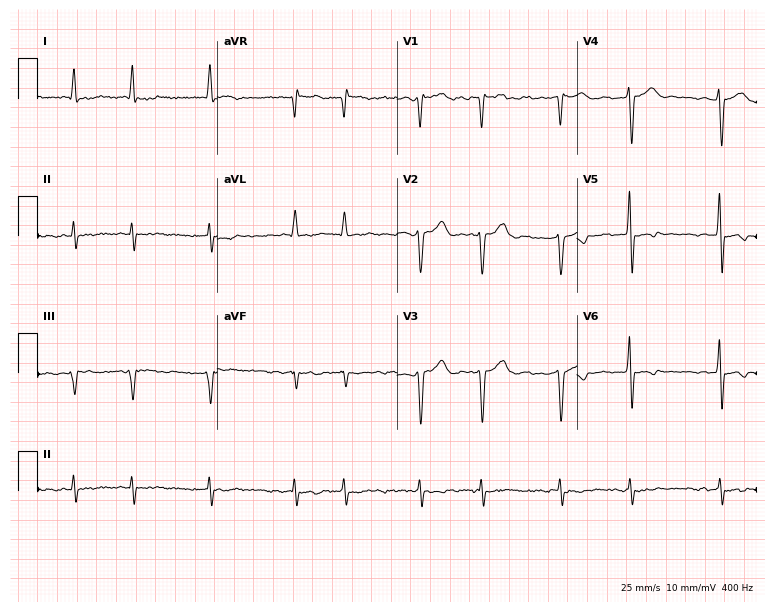
ECG (7.3-second recording at 400 Hz) — a 65-year-old male. Findings include atrial fibrillation.